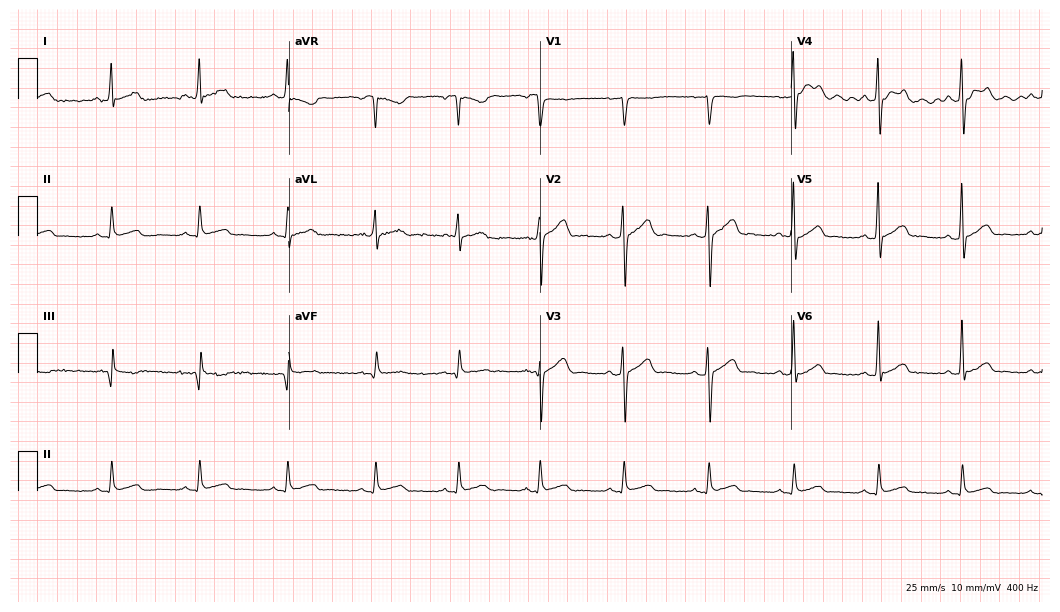
Electrocardiogram (10.2-second recording at 400 Hz), a male patient, 34 years old. Overall reading on record: normal ECG.